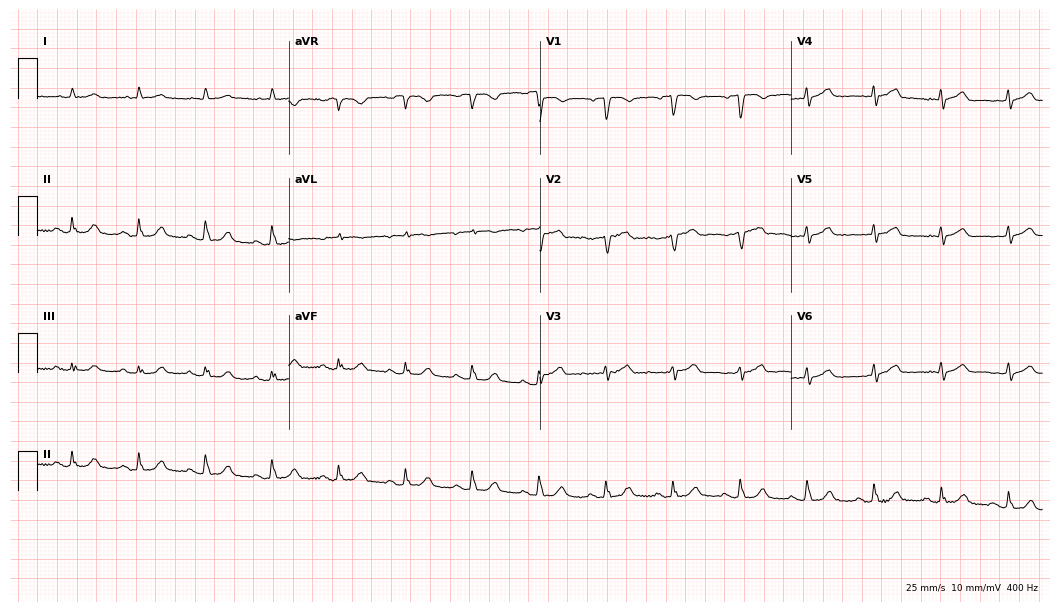
12-lead ECG from a male patient, 85 years old (10.2-second recording at 400 Hz). No first-degree AV block, right bundle branch block, left bundle branch block, sinus bradycardia, atrial fibrillation or sinus tachycardia recorded for this tracing.